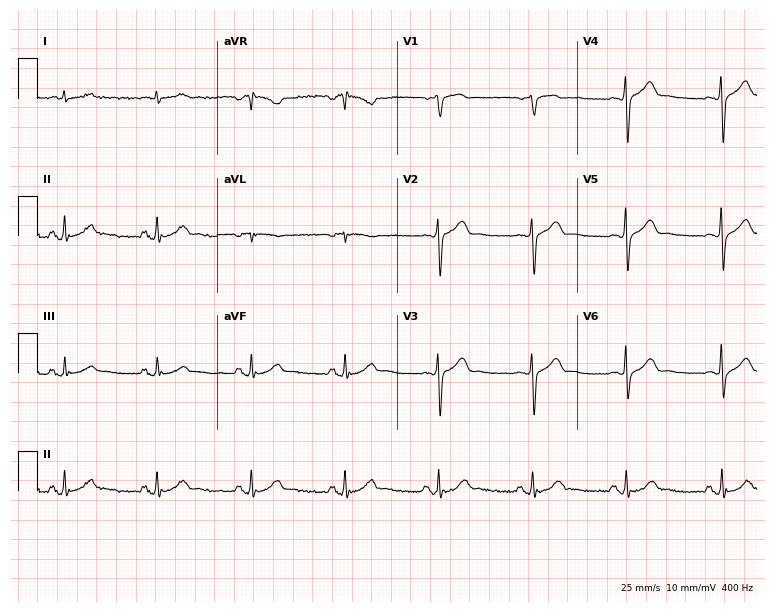
ECG (7.3-second recording at 400 Hz) — a man, 69 years old. Labelled as a normal ECG.